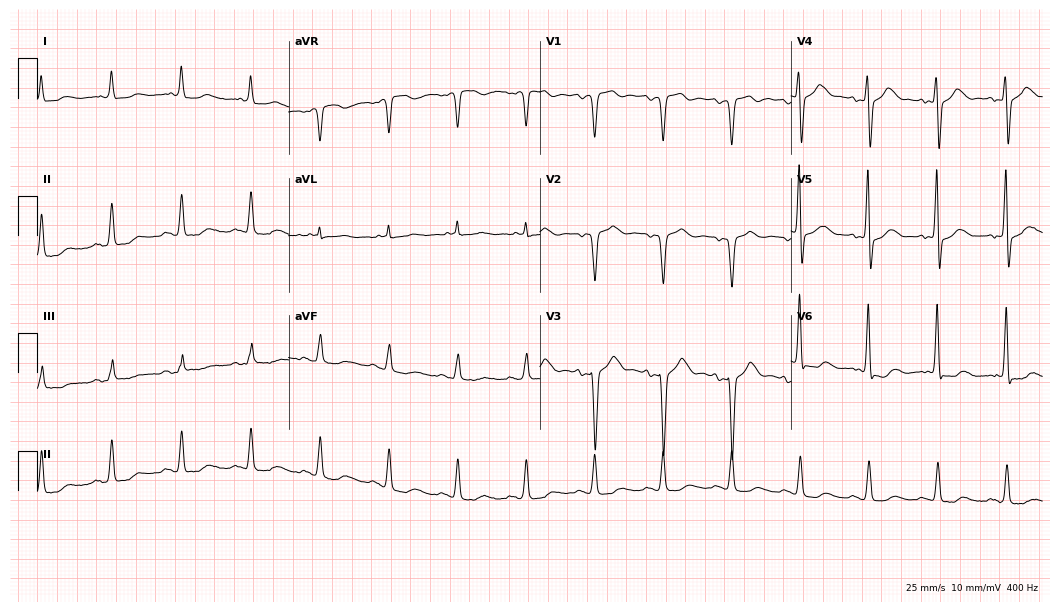
12-lead ECG from a 49-year-old male. No first-degree AV block, right bundle branch block (RBBB), left bundle branch block (LBBB), sinus bradycardia, atrial fibrillation (AF) or sinus tachycardia recorded for this tracing. Only these six findings were labelled.